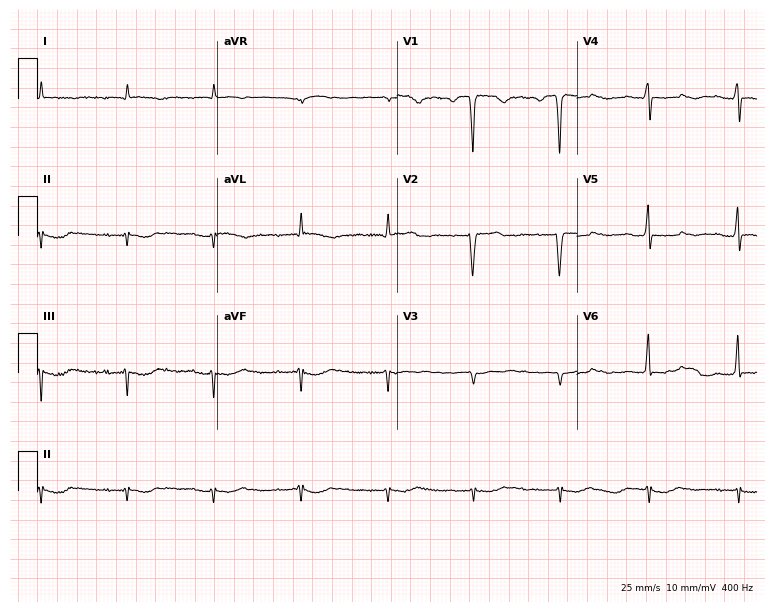
ECG — a female, 83 years old. Screened for six findings — first-degree AV block, right bundle branch block (RBBB), left bundle branch block (LBBB), sinus bradycardia, atrial fibrillation (AF), sinus tachycardia — none is recorded. Findings outside these six are not listed.